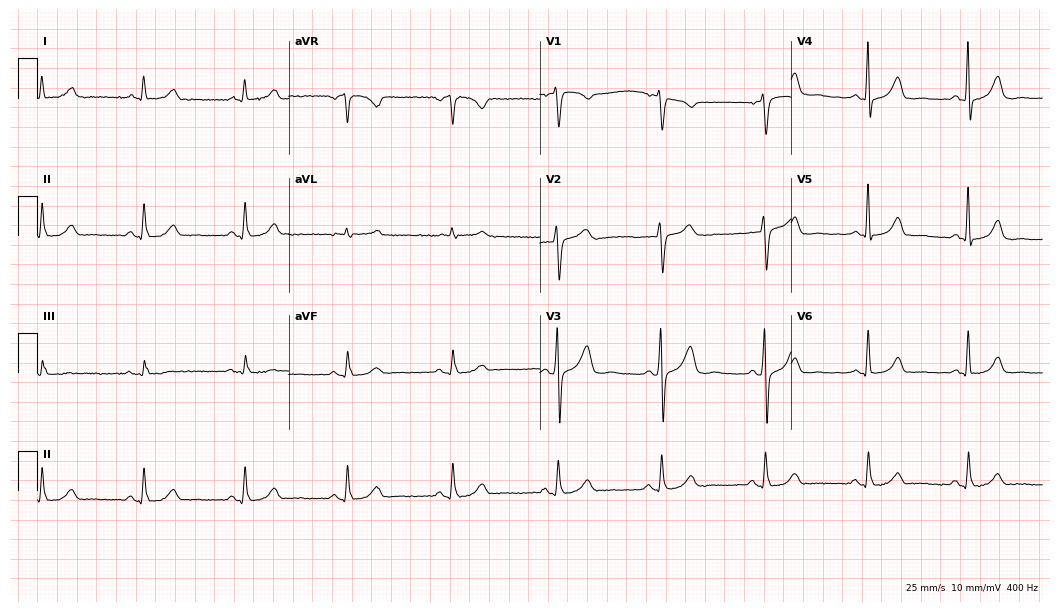
12-lead ECG from a 59-year-old female patient. Screened for six findings — first-degree AV block, right bundle branch block, left bundle branch block, sinus bradycardia, atrial fibrillation, sinus tachycardia — none is recorded.